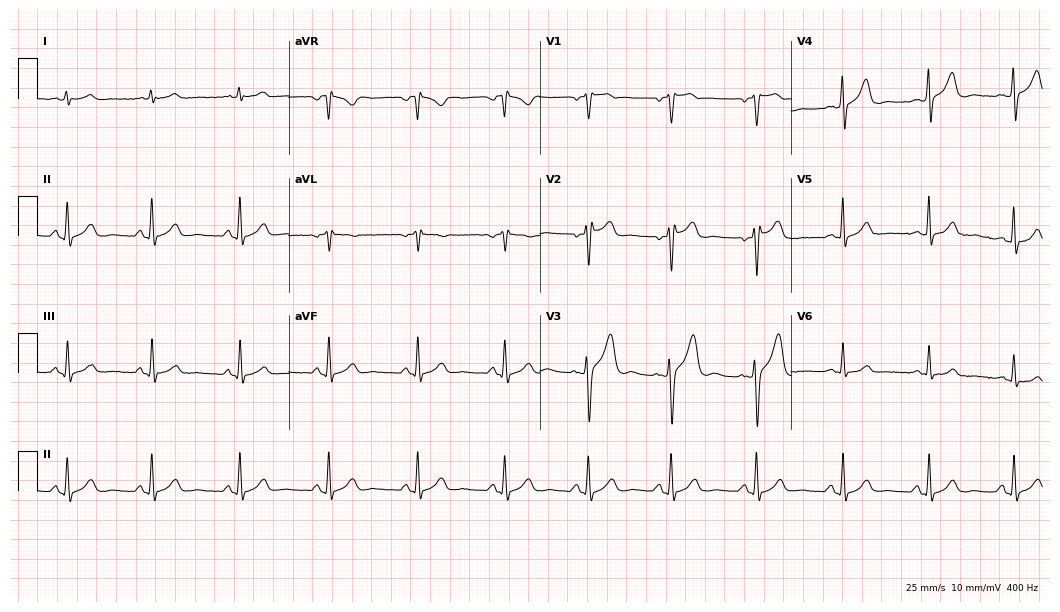
12-lead ECG from a 31-year-old male. Screened for six findings — first-degree AV block, right bundle branch block, left bundle branch block, sinus bradycardia, atrial fibrillation, sinus tachycardia — none is recorded.